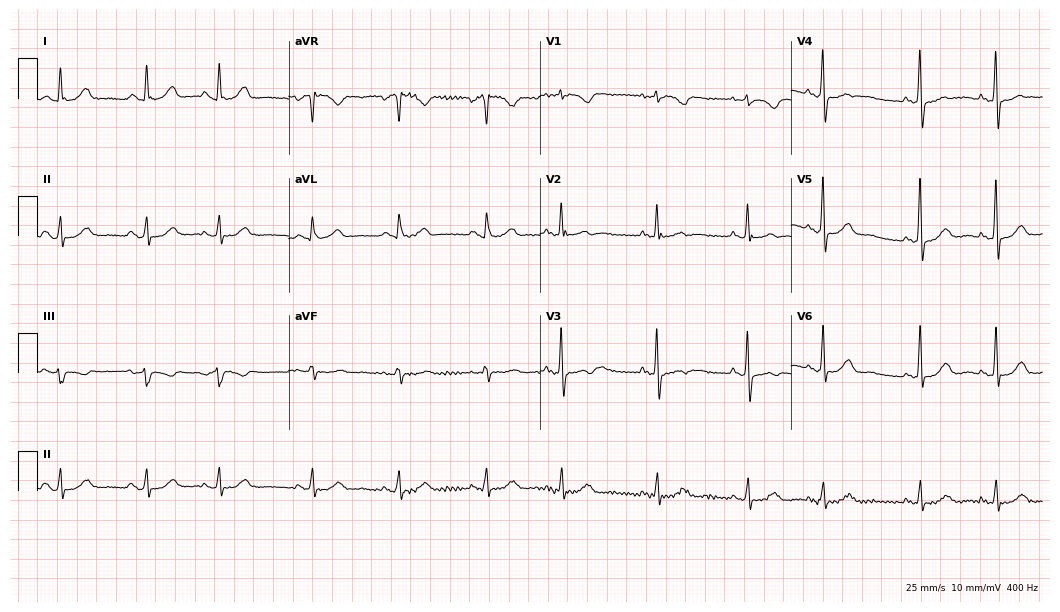
Electrocardiogram, a 63-year-old woman. Overall reading on record: normal ECG.